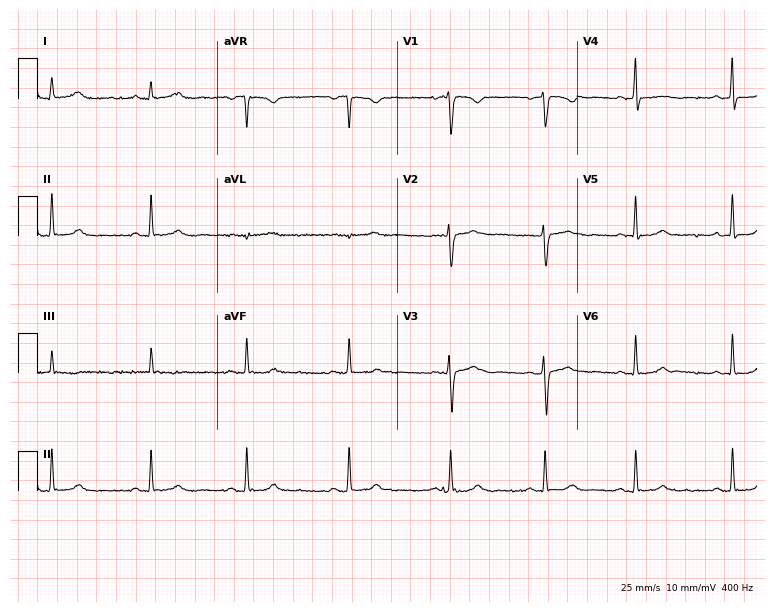
12-lead ECG from a 32-year-old female patient (7.3-second recording at 400 Hz). Recorded interpretation: within normal limits.